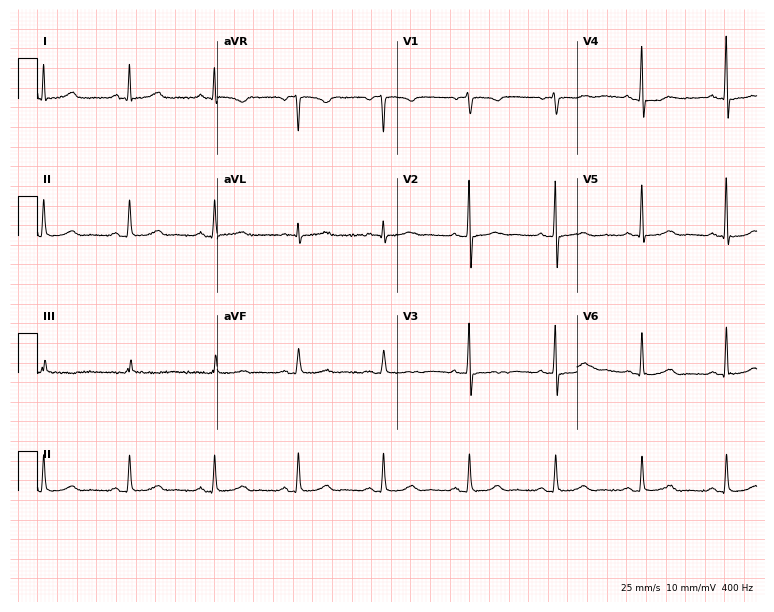
Electrocardiogram (7.3-second recording at 400 Hz), a female, 63 years old. Overall reading on record: normal ECG.